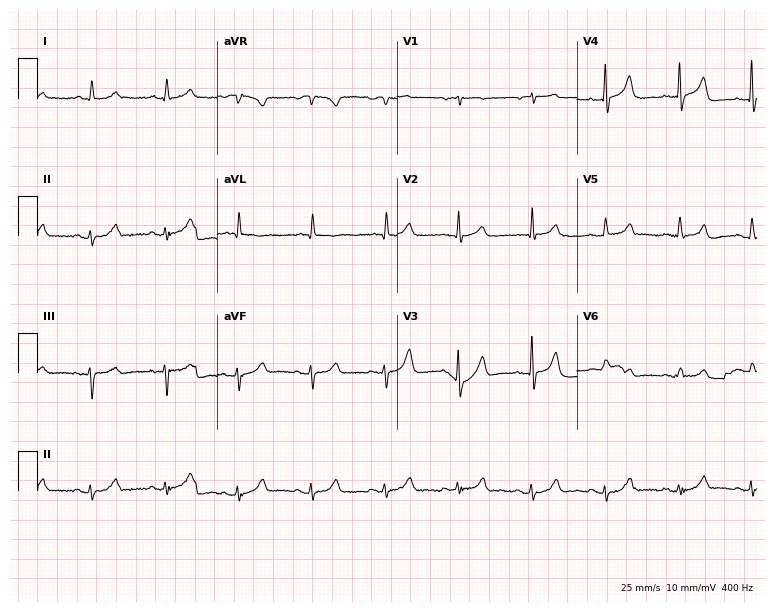
ECG (7.3-second recording at 400 Hz) — a 76-year-old female patient. Labelled as a normal ECG.